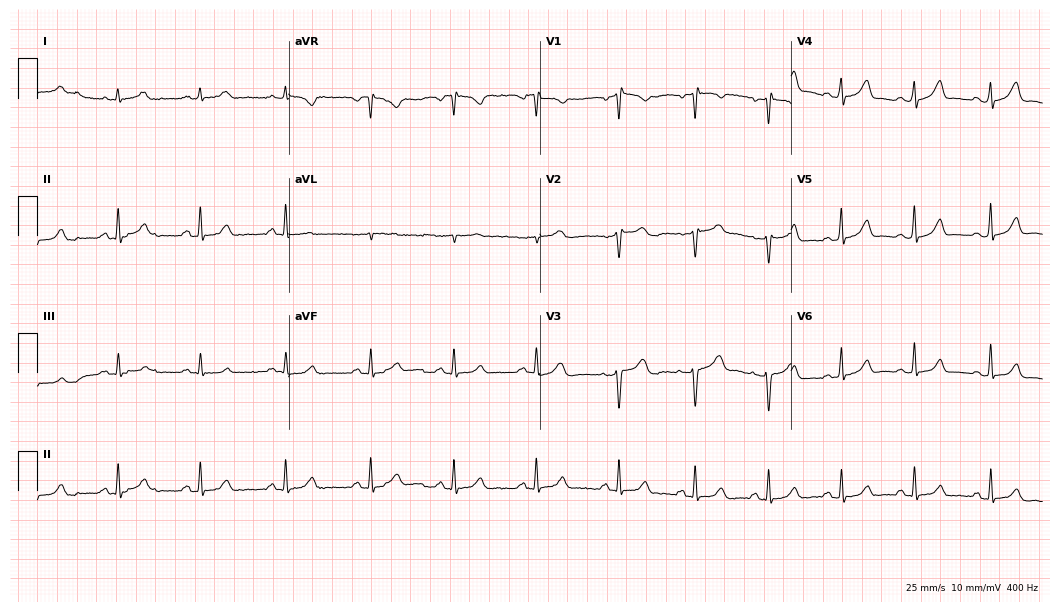
12-lead ECG from a 33-year-old female patient. Labelled as a normal ECG.